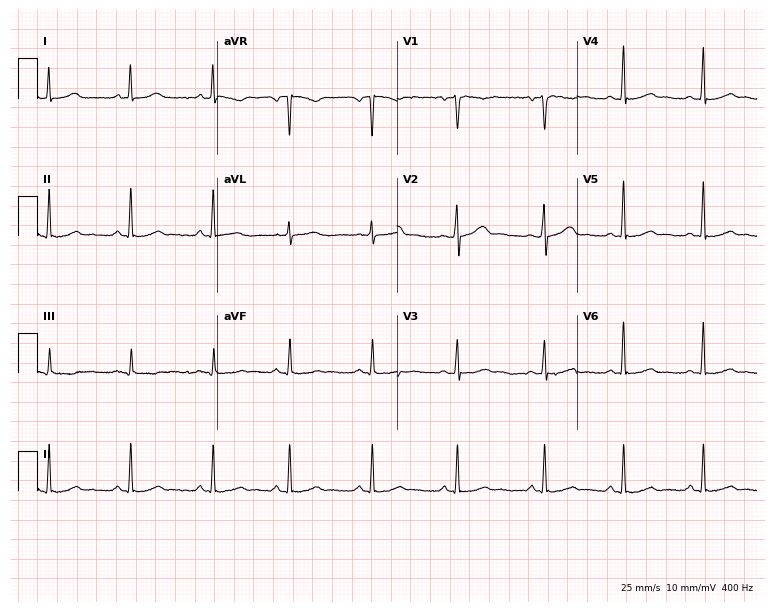
12-lead ECG from a female, 35 years old (7.3-second recording at 400 Hz). Recorded interpretation: within normal limits.